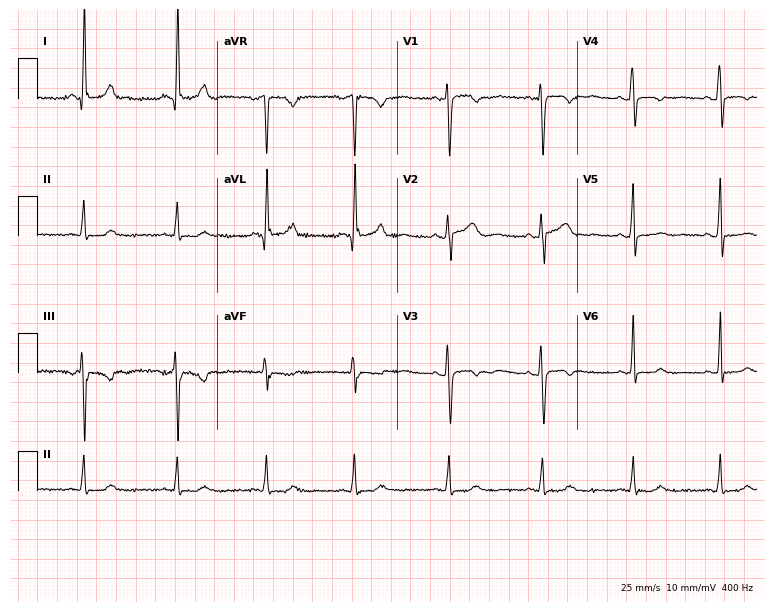
Resting 12-lead electrocardiogram. Patient: a 50-year-old female. Read as a normal ECG.